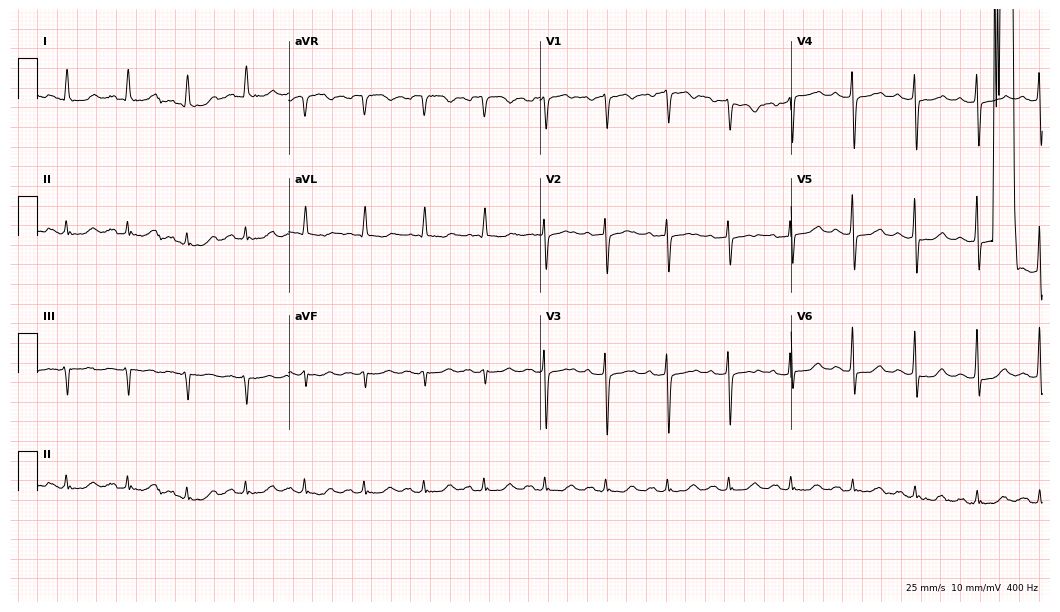
Standard 12-lead ECG recorded from a female, 74 years old (10.2-second recording at 400 Hz). Read as a normal ECG.